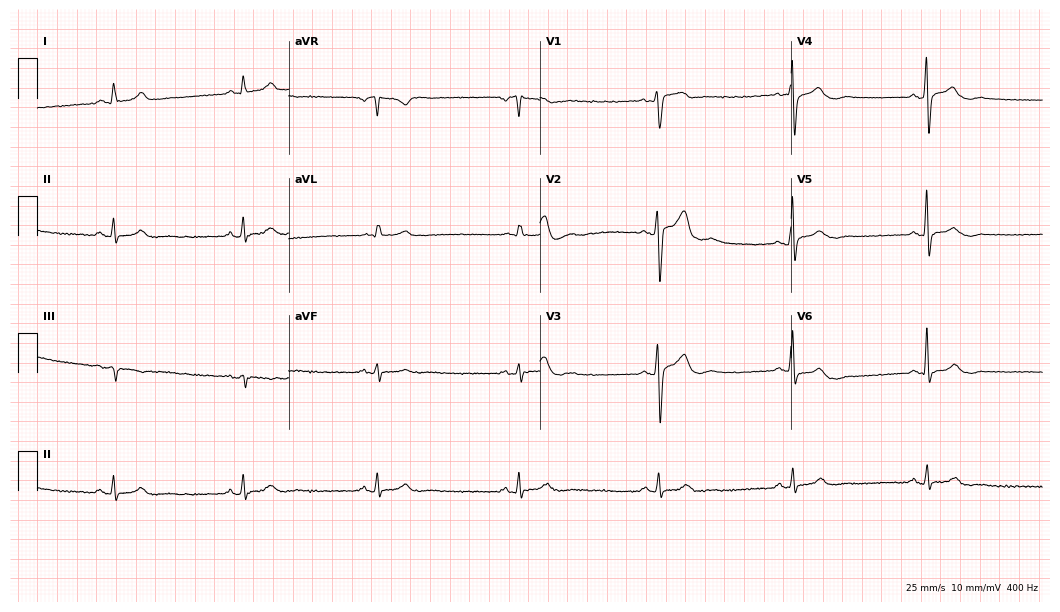
12-lead ECG from a 60-year-old male (10.2-second recording at 400 Hz). Shows sinus bradycardia (a sinus rate of 50 beats per minute or less).